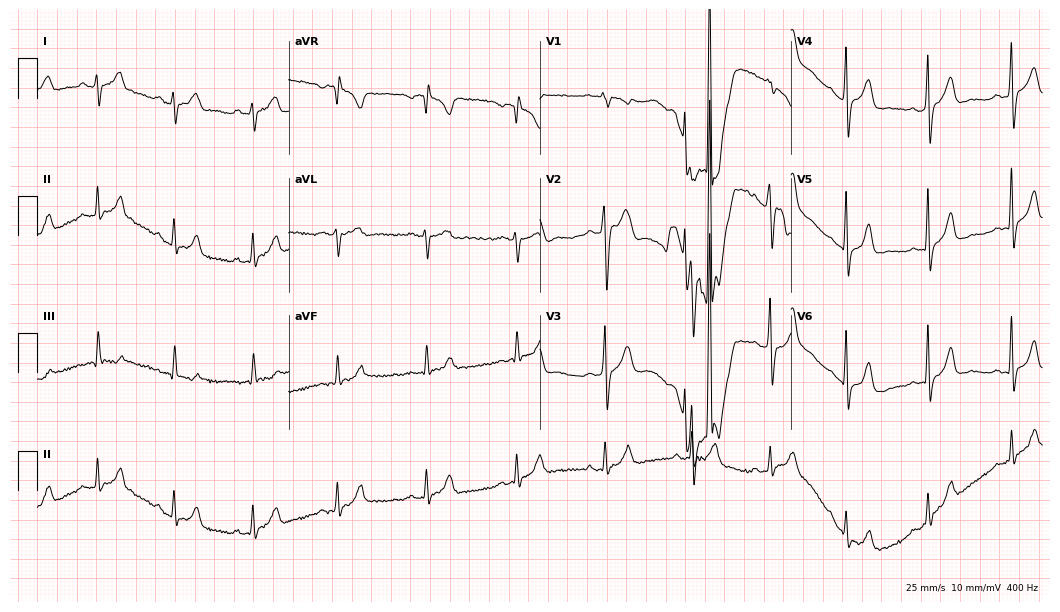
Resting 12-lead electrocardiogram (10.2-second recording at 400 Hz). Patient: a 25-year-old male. Read as a normal ECG.